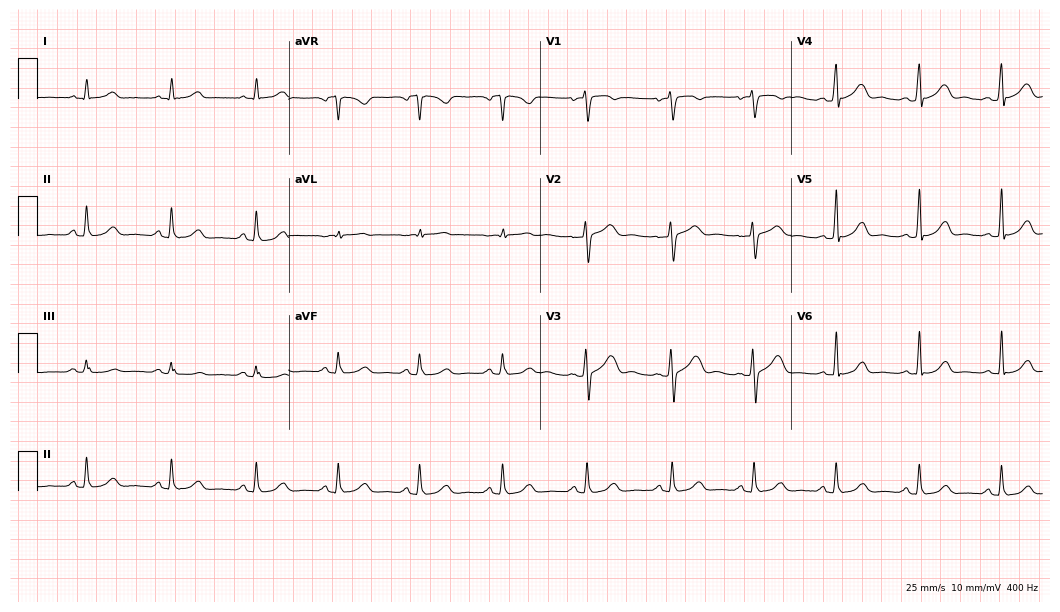
Standard 12-lead ECG recorded from a 41-year-old woman. Read as a normal ECG.